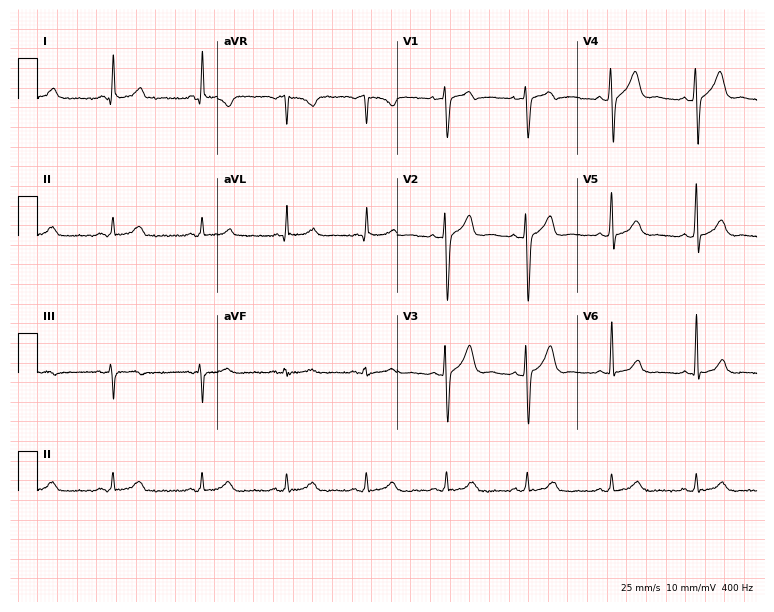
Electrocardiogram (7.3-second recording at 400 Hz), a 32-year-old male patient. Overall reading on record: normal ECG.